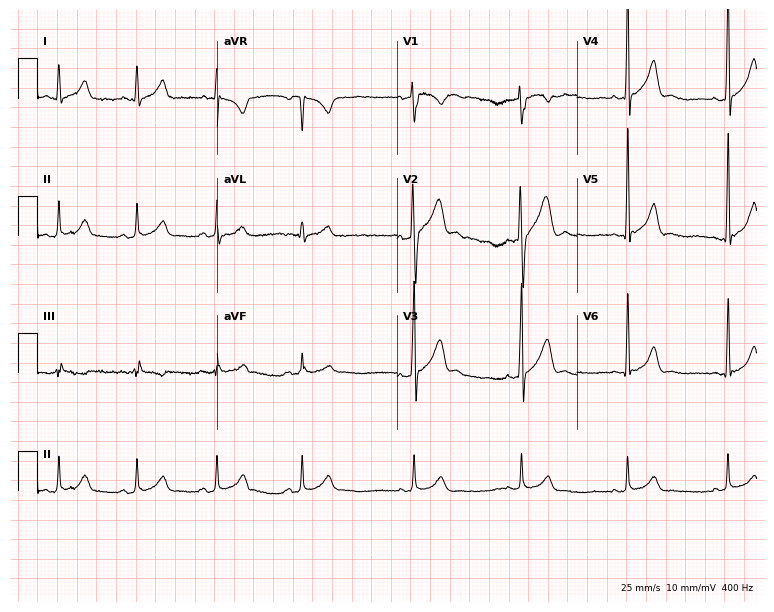
12-lead ECG (7.3-second recording at 400 Hz) from a male, 21 years old. Labelled as a normal ECG.